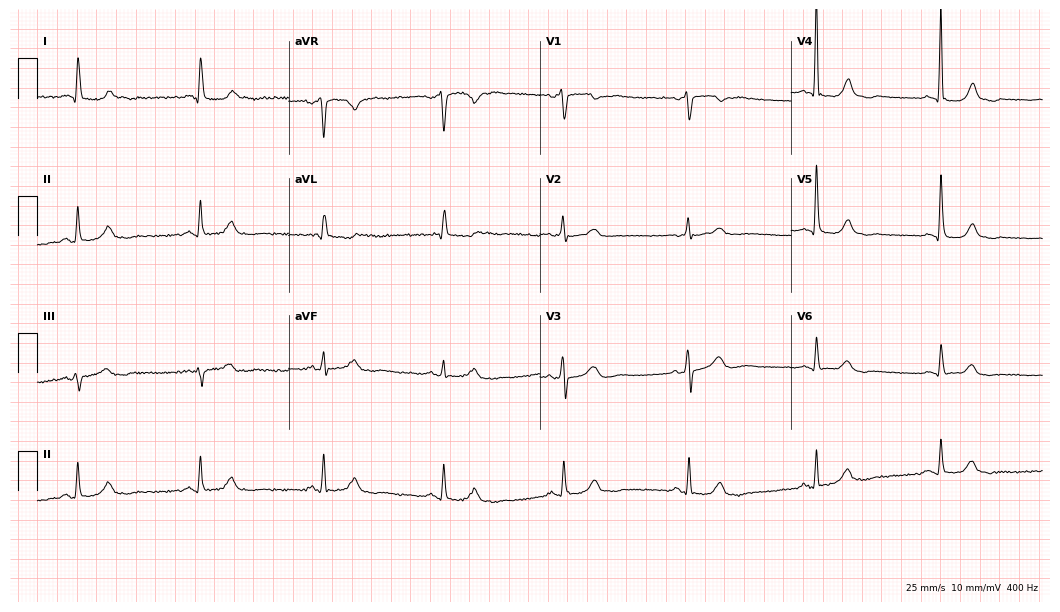
Electrocardiogram (10.2-second recording at 400 Hz), a 79-year-old female. Of the six screened findings (first-degree AV block, right bundle branch block, left bundle branch block, sinus bradycardia, atrial fibrillation, sinus tachycardia), none is recorded. Only these six findings were labelled.